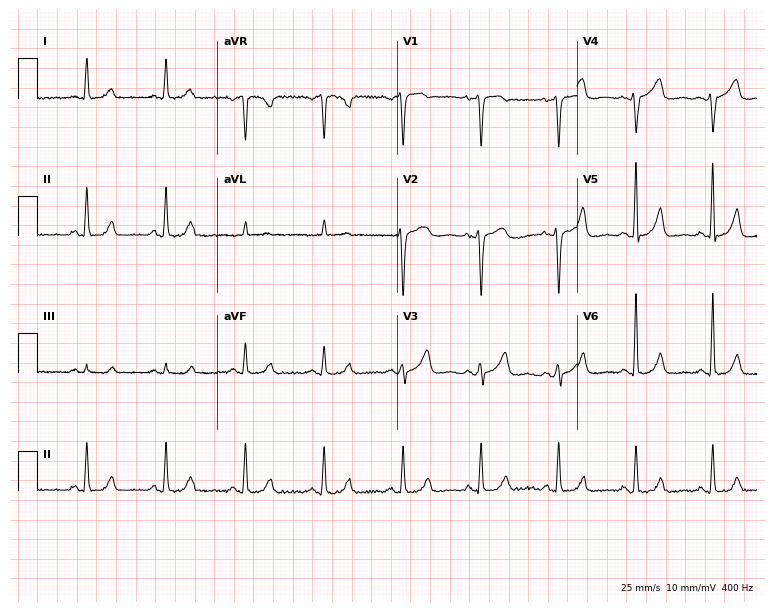
12-lead ECG from a 67-year-old female patient. Recorded interpretation: within normal limits.